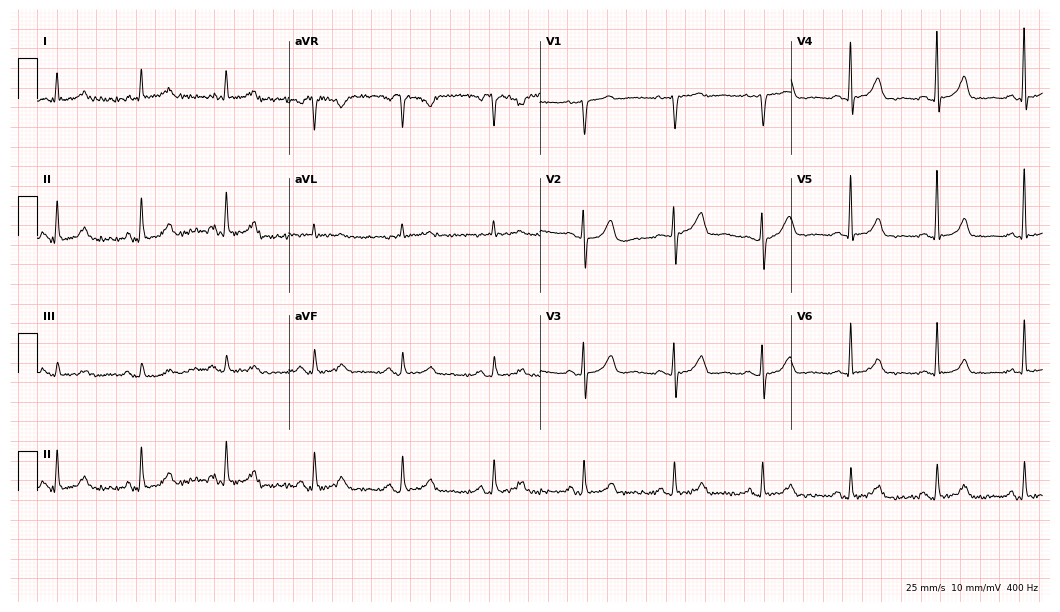
12-lead ECG from a female patient, 76 years old. Screened for six findings — first-degree AV block, right bundle branch block, left bundle branch block, sinus bradycardia, atrial fibrillation, sinus tachycardia — none is recorded. Other findings, if any, are not listed.